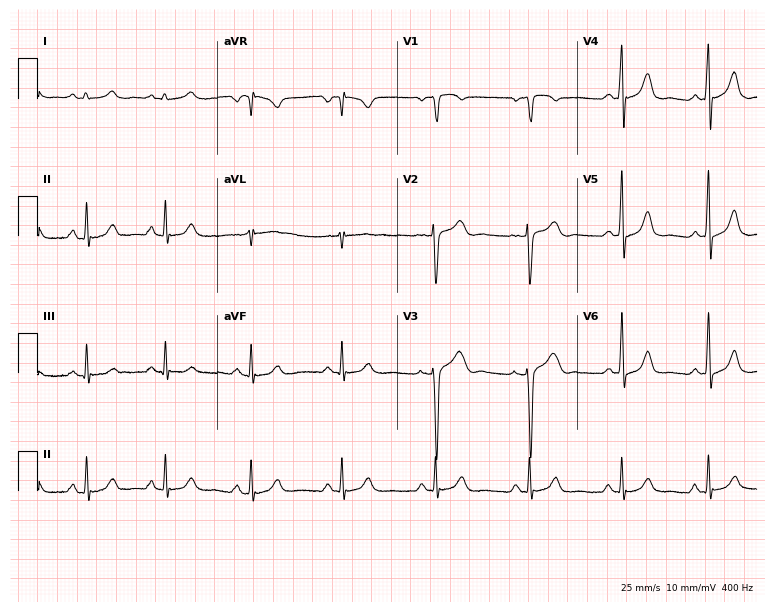
12-lead ECG from a male patient, 37 years old. Recorded interpretation: within normal limits.